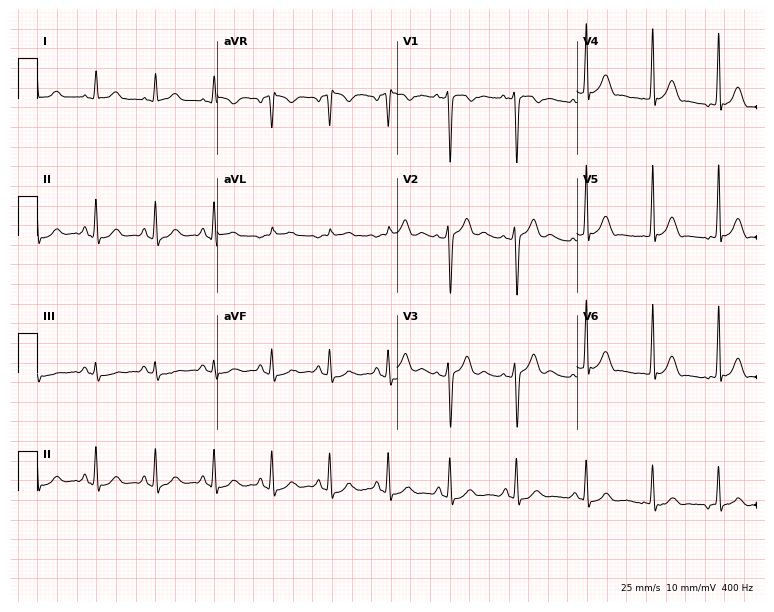
12-lead ECG from a man, 23 years old (7.3-second recording at 400 Hz). No first-degree AV block, right bundle branch block, left bundle branch block, sinus bradycardia, atrial fibrillation or sinus tachycardia recorded for this tracing. Other findings, if any, are not listed.